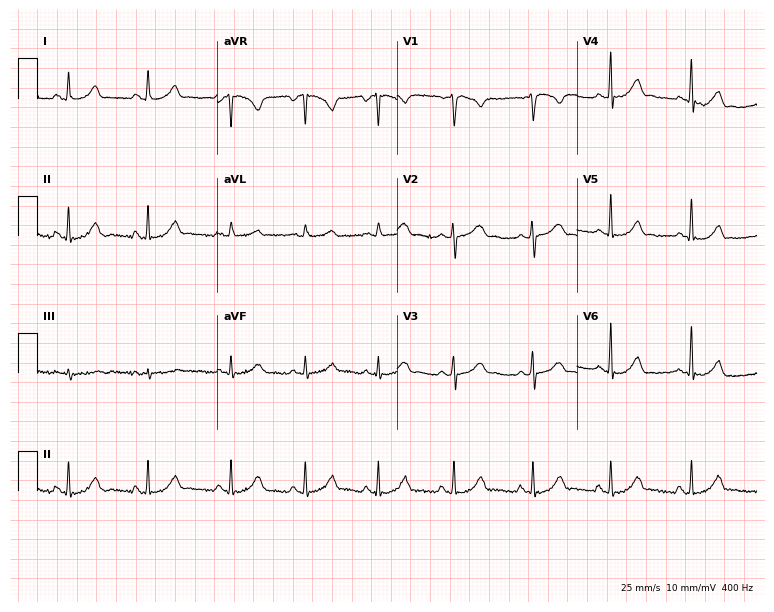
12-lead ECG from a 25-year-old female patient. Recorded interpretation: within normal limits.